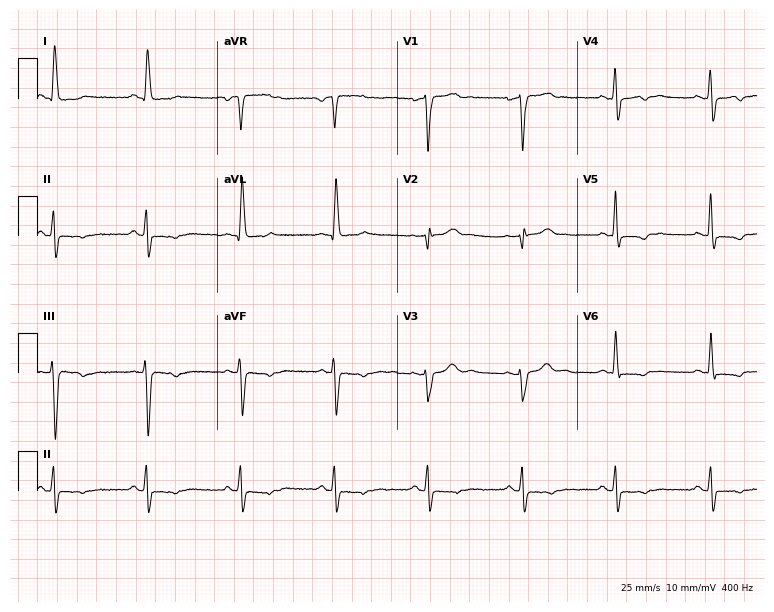
Standard 12-lead ECG recorded from a female patient, 61 years old. None of these six findings is recorded: first-degree AV block, right bundle branch block (RBBB), left bundle branch block (LBBB), sinus bradycardia, atrial fibrillation (AF), sinus tachycardia. Only these six findings were labelled.